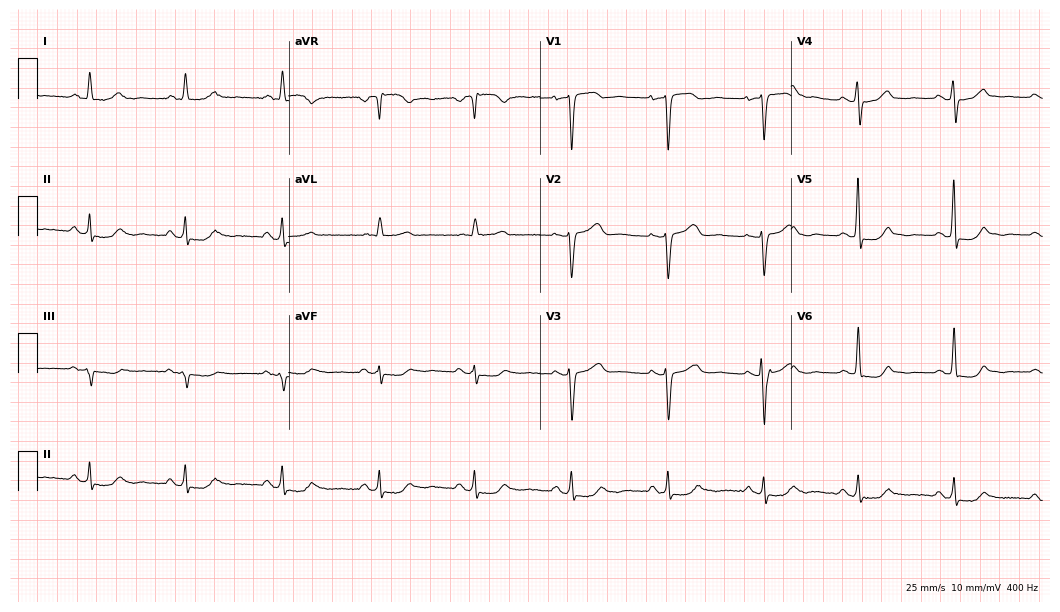
Standard 12-lead ECG recorded from a 62-year-old female patient. None of these six findings is recorded: first-degree AV block, right bundle branch block, left bundle branch block, sinus bradycardia, atrial fibrillation, sinus tachycardia.